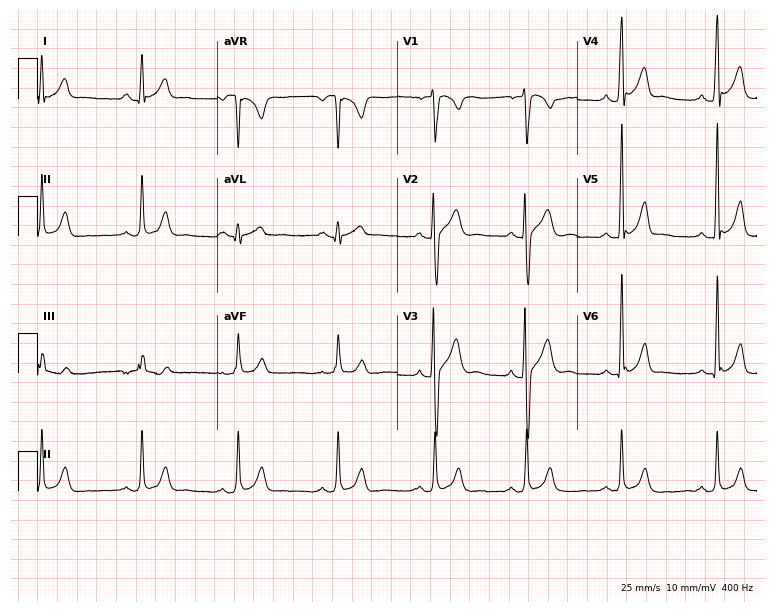
Standard 12-lead ECG recorded from a 23-year-old male patient (7.3-second recording at 400 Hz). Read as a normal ECG.